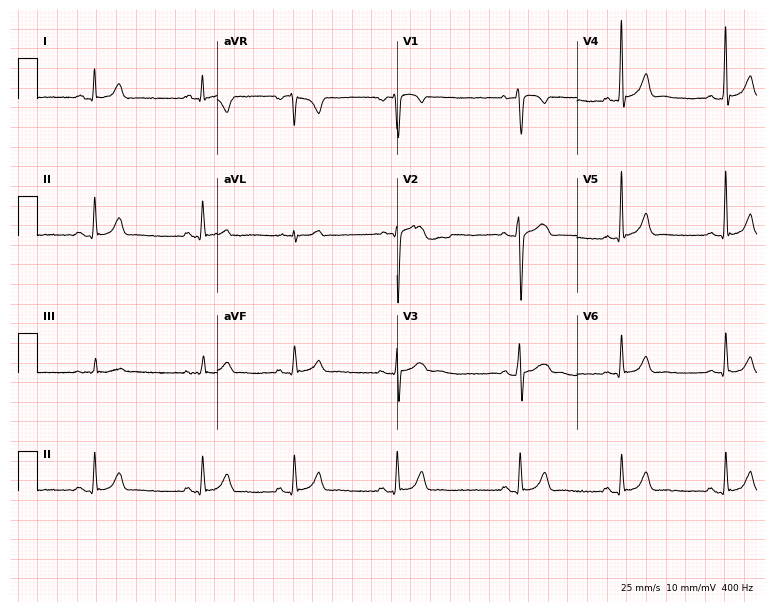
Standard 12-lead ECG recorded from a female patient, 25 years old. Read as a normal ECG.